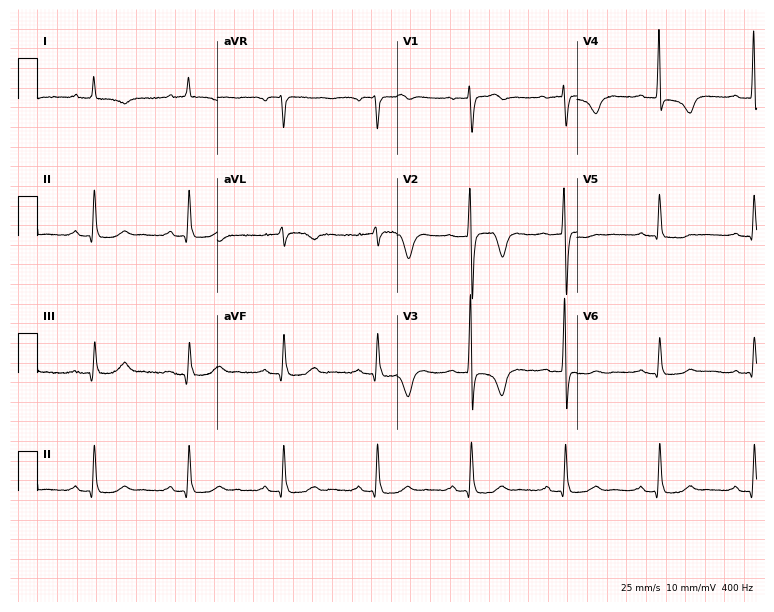
Electrocardiogram, a 77-year-old male patient. Of the six screened findings (first-degree AV block, right bundle branch block (RBBB), left bundle branch block (LBBB), sinus bradycardia, atrial fibrillation (AF), sinus tachycardia), none is recorded.